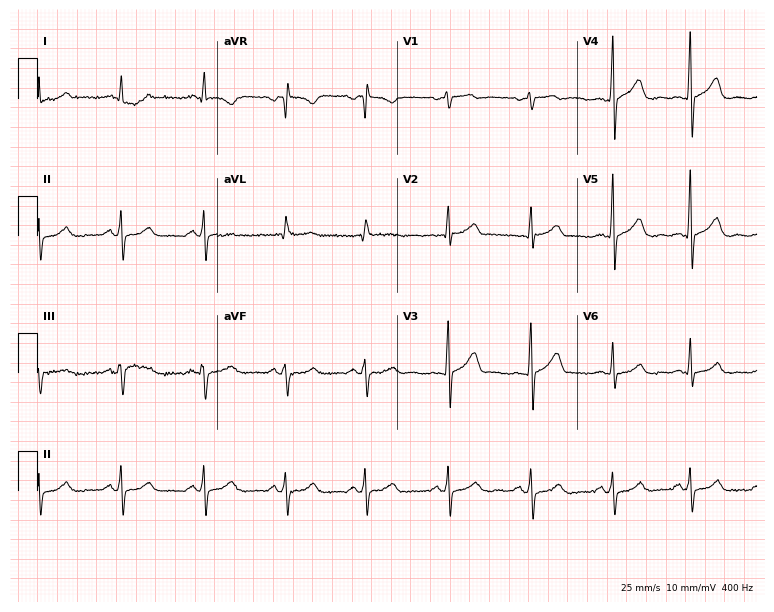
ECG (7.3-second recording at 400 Hz) — a man, 41 years old. Screened for six findings — first-degree AV block, right bundle branch block, left bundle branch block, sinus bradycardia, atrial fibrillation, sinus tachycardia — none is recorded.